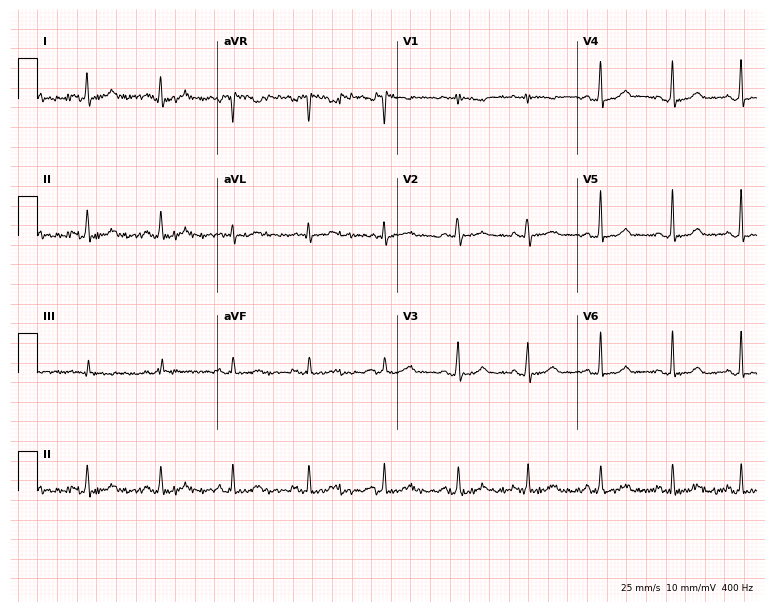
Resting 12-lead electrocardiogram (7.3-second recording at 400 Hz). Patient: a 44-year-old female. Read as a normal ECG.